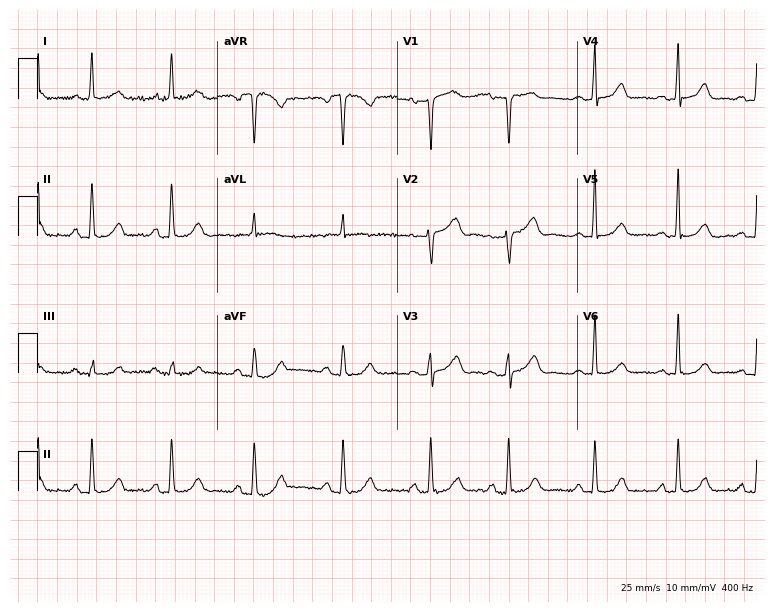
Standard 12-lead ECG recorded from an 81-year-old female. Read as a normal ECG.